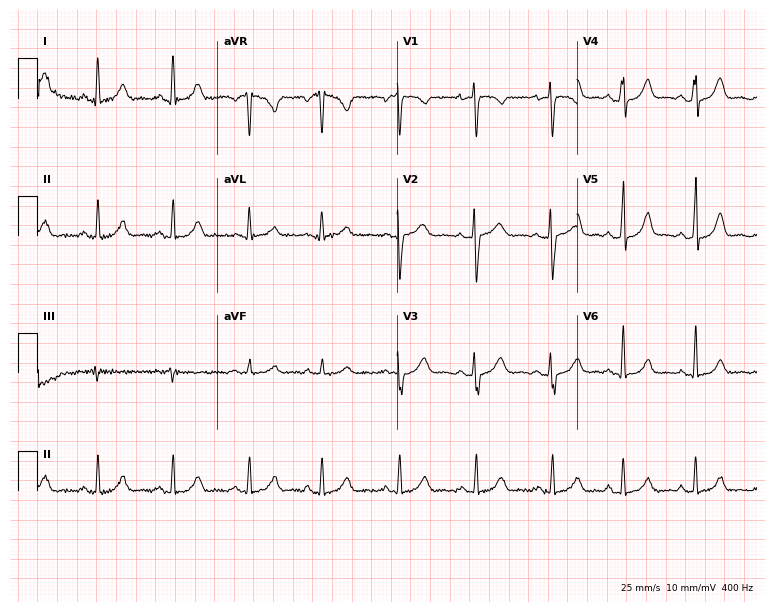
Electrocardiogram, a 42-year-old female. Of the six screened findings (first-degree AV block, right bundle branch block, left bundle branch block, sinus bradycardia, atrial fibrillation, sinus tachycardia), none is recorded. Findings outside these six are not listed.